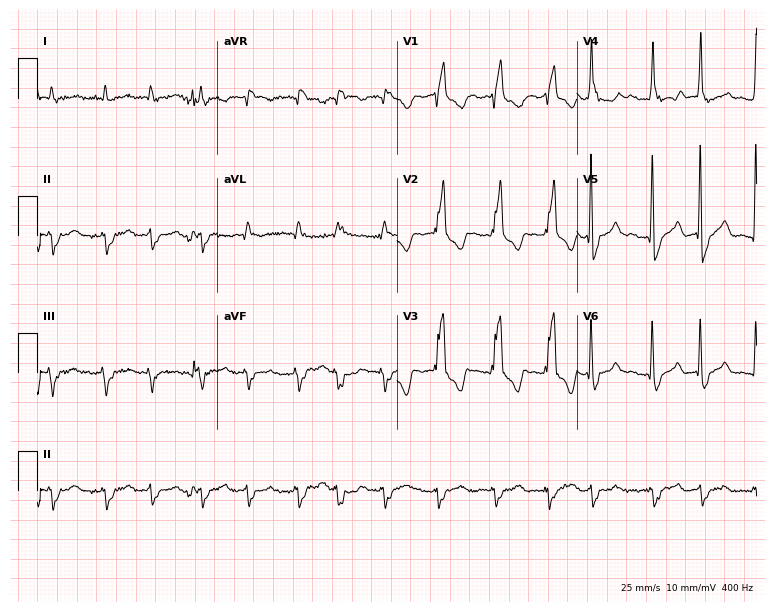
Standard 12-lead ECG recorded from an 83-year-old male patient (7.3-second recording at 400 Hz). The tracing shows right bundle branch block (RBBB), atrial fibrillation (AF), sinus tachycardia (a sinus rate of 100 beats per minute or more).